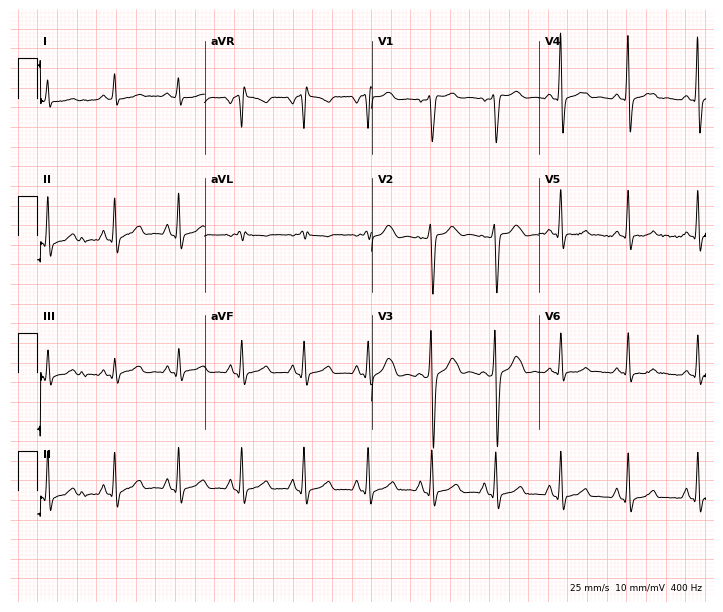
12-lead ECG from a 34-year-old man. No first-degree AV block, right bundle branch block, left bundle branch block, sinus bradycardia, atrial fibrillation or sinus tachycardia recorded for this tracing. Other findings, if any, are not listed.